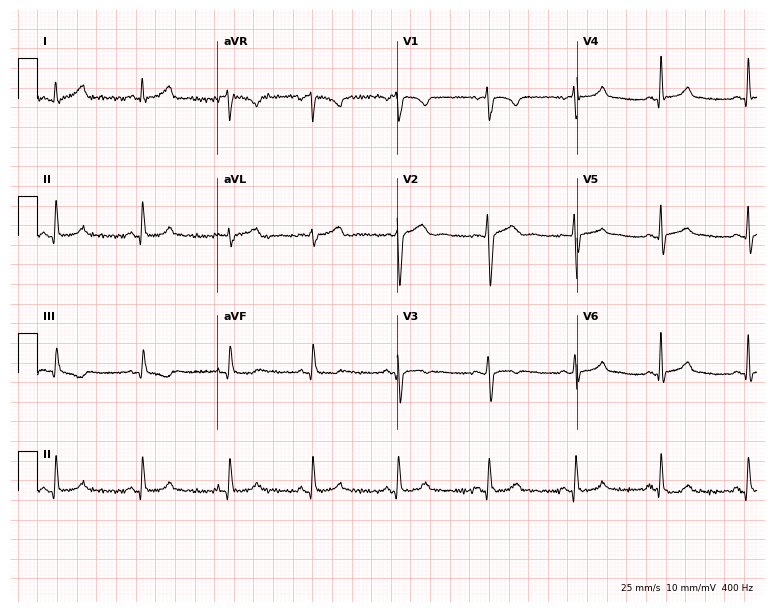
12-lead ECG from a female, 25 years old. Labelled as a normal ECG.